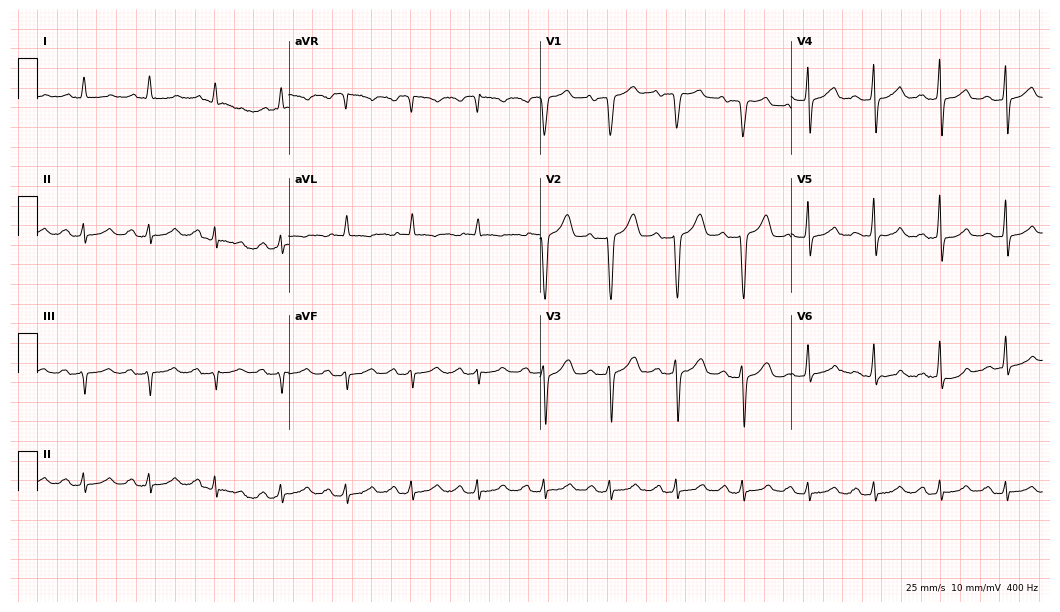
Standard 12-lead ECG recorded from an 85-year-old male. Read as a normal ECG.